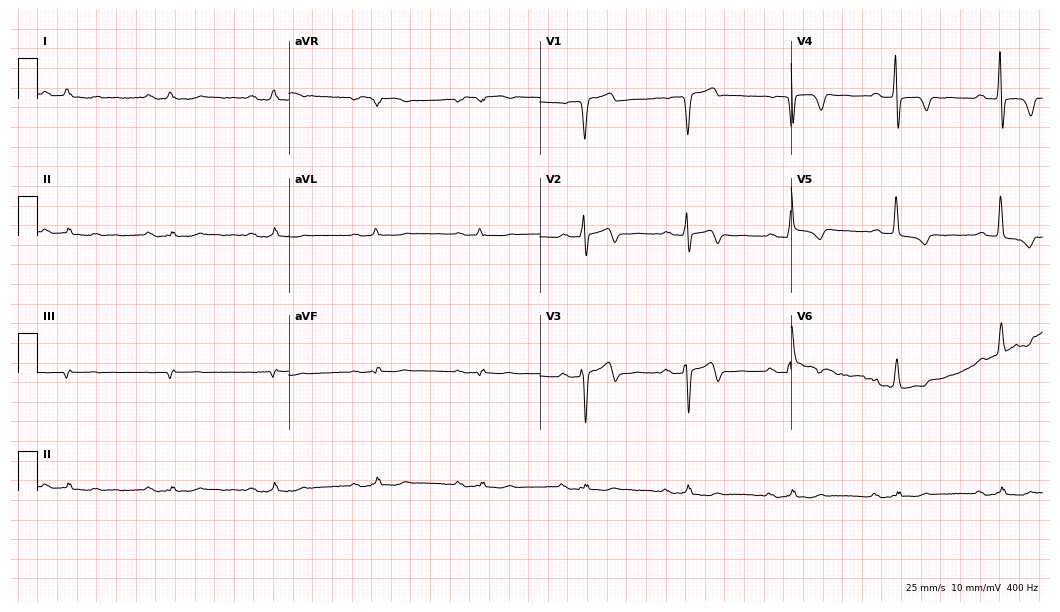
Standard 12-lead ECG recorded from an 81-year-old male (10.2-second recording at 400 Hz). None of these six findings is recorded: first-degree AV block, right bundle branch block, left bundle branch block, sinus bradycardia, atrial fibrillation, sinus tachycardia. Only these six findings were labelled.